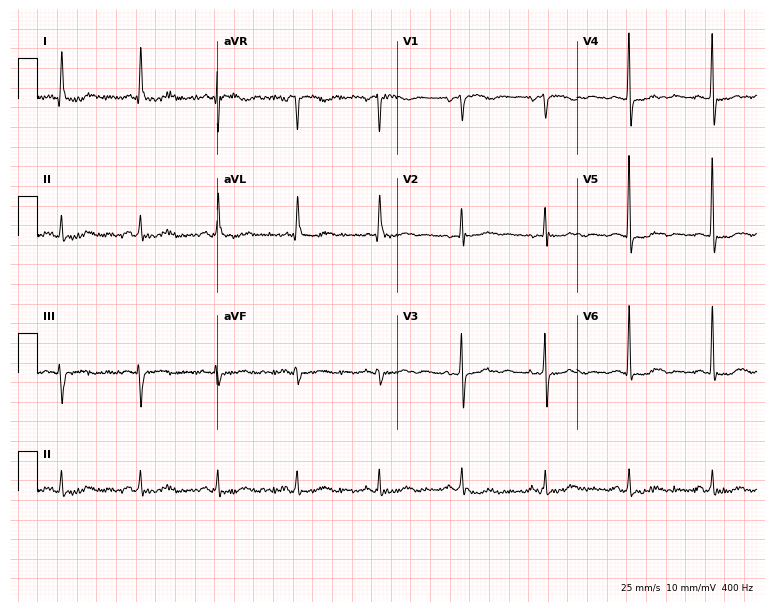
12-lead ECG from a female, 83 years old. Screened for six findings — first-degree AV block, right bundle branch block, left bundle branch block, sinus bradycardia, atrial fibrillation, sinus tachycardia — none is recorded. Other findings, if any, are not listed.